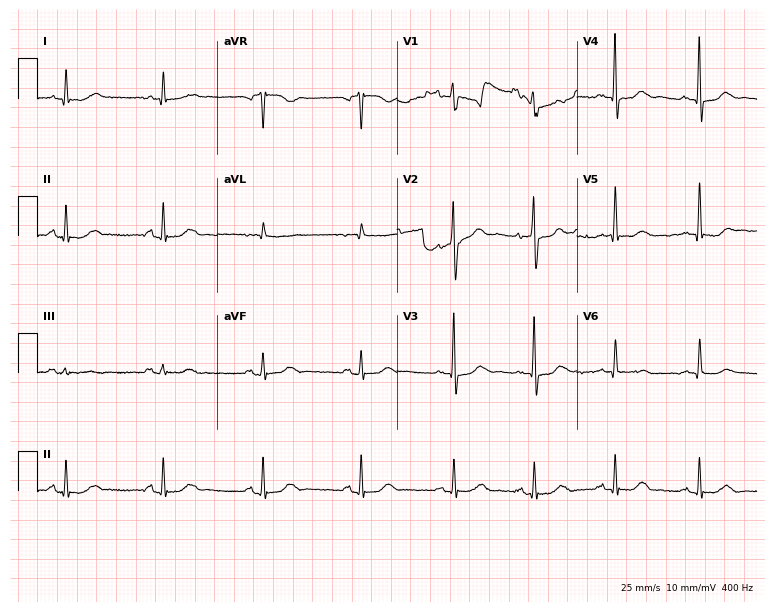
12-lead ECG from a female patient, 83 years old. Labelled as a normal ECG.